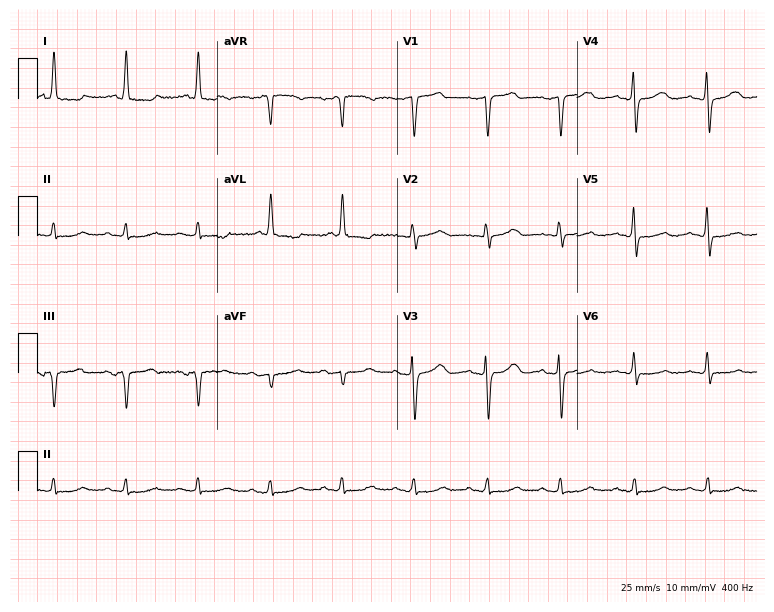
Resting 12-lead electrocardiogram. Patient: a female, 74 years old. None of these six findings is recorded: first-degree AV block, right bundle branch block, left bundle branch block, sinus bradycardia, atrial fibrillation, sinus tachycardia.